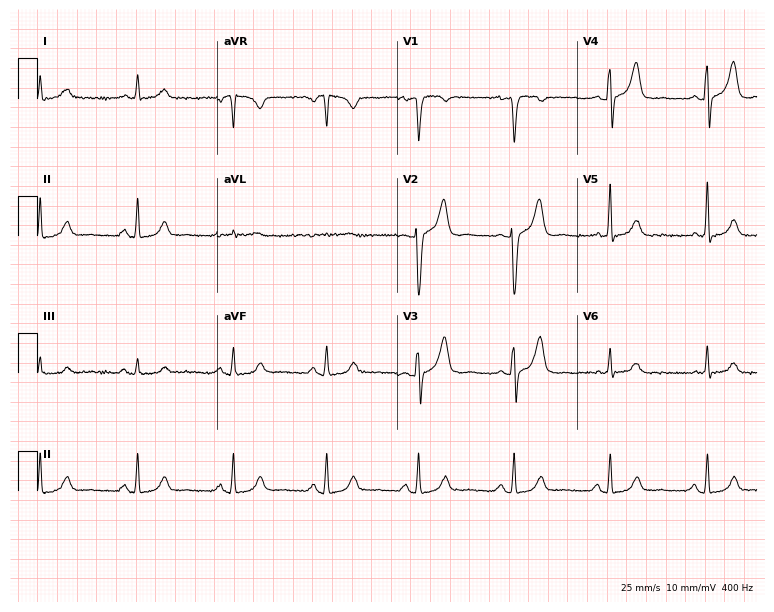
Resting 12-lead electrocardiogram (7.3-second recording at 400 Hz). Patient: a man, 83 years old. Read as a normal ECG.